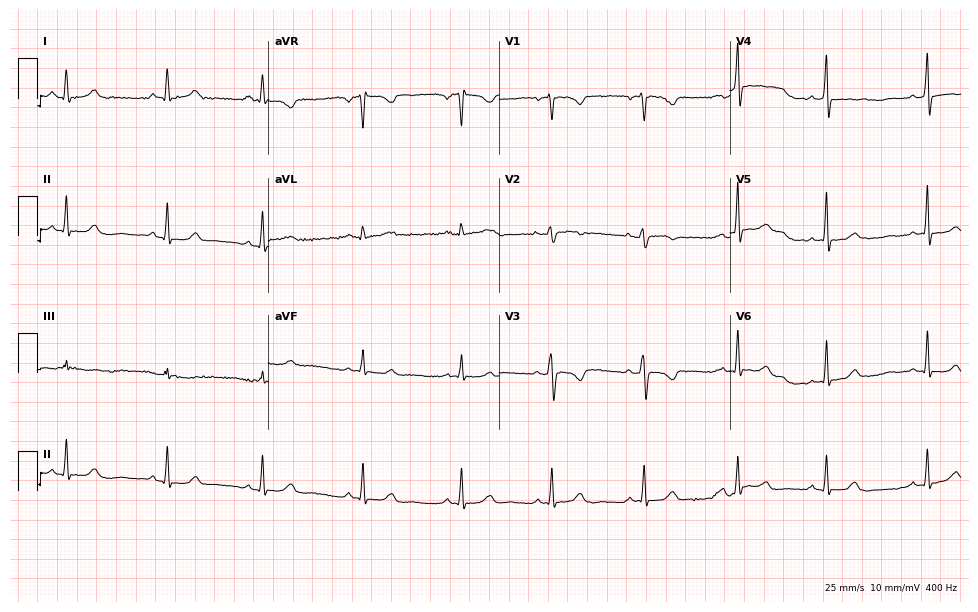
ECG (9.4-second recording at 400 Hz) — a 32-year-old female patient. Screened for six findings — first-degree AV block, right bundle branch block, left bundle branch block, sinus bradycardia, atrial fibrillation, sinus tachycardia — none is recorded.